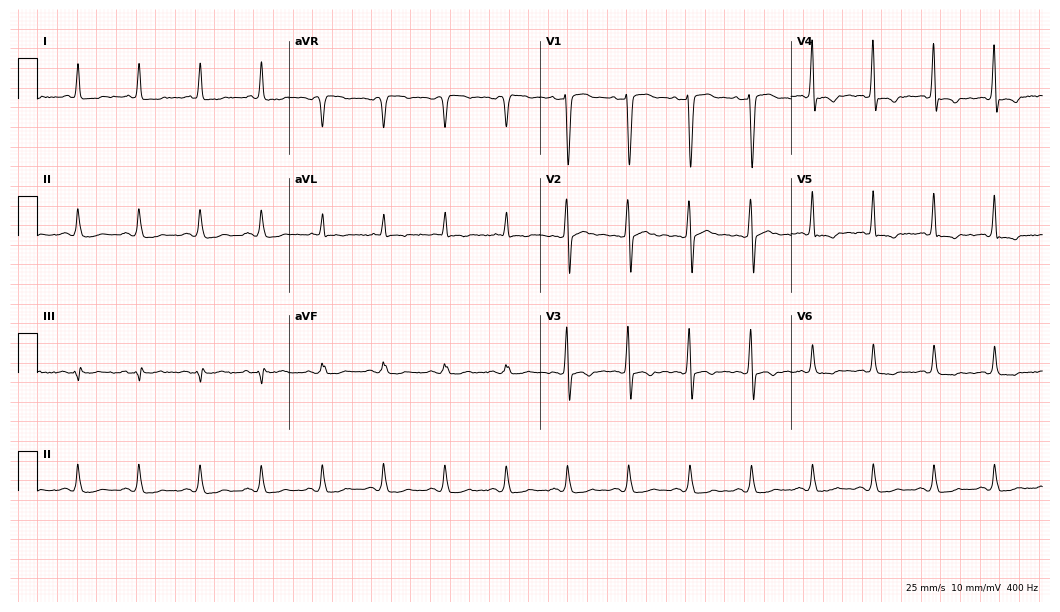
Standard 12-lead ECG recorded from a male, 57 years old. None of these six findings is recorded: first-degree AV block, right bundle branch block, left bundle branch block, sinus bradycardia, atrial fibrillation, sinus tachycardia. Only these six findings were labelled.